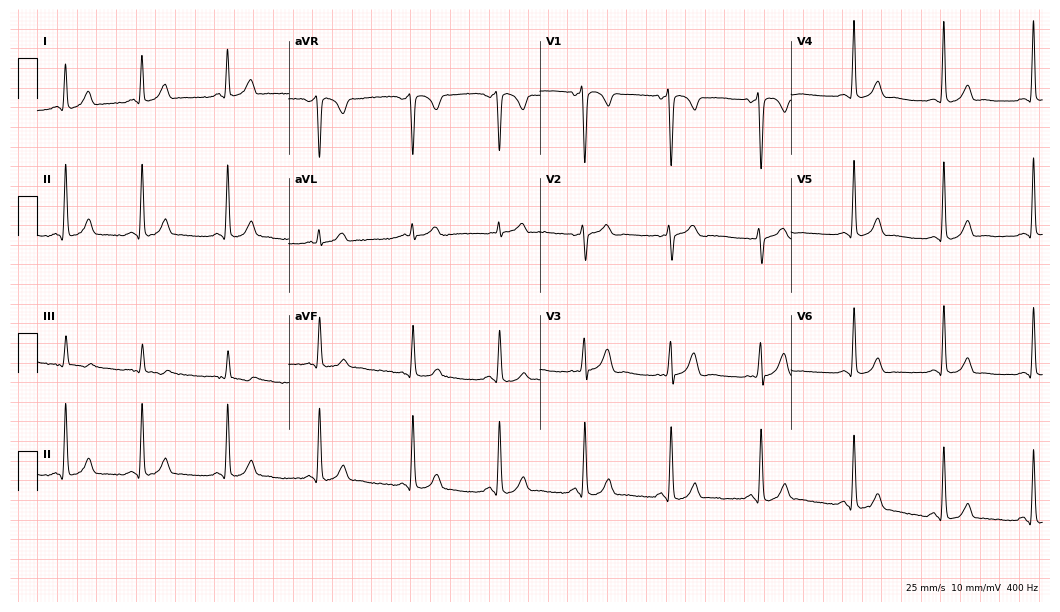
Electrocardiogram, a 34-year-old woman. Of the six screened findings (first-degree AV block, right bundle branch block, left bundle branch block, sinus bradycardia, atrial fibrillation, sinus tachycardia), none is recorded. Findings outside these six are not listed.